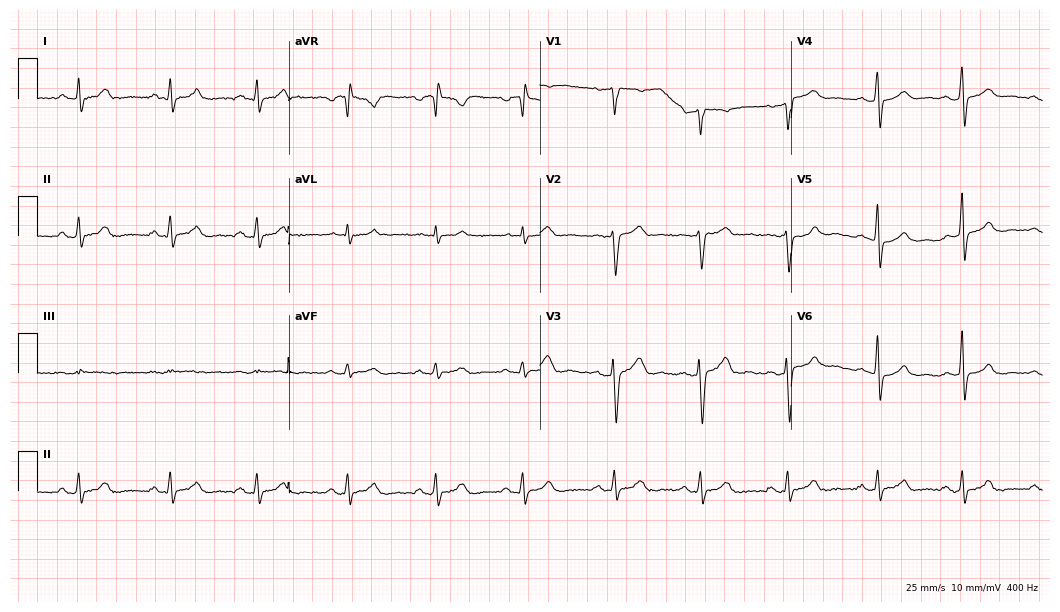
Standard 12-lead ECG recorded from a male, 35 years old (10.2-second recording at 400 Hz). Read as a normal ECG.